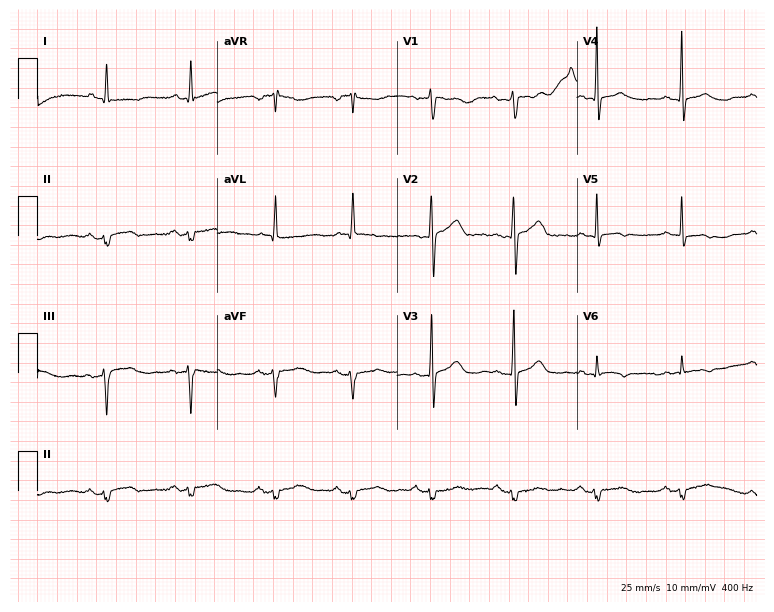
ECG — a 71-year-old woman. Screened for six findings — first-degree AV block, right bundle branch block, left bundle branch block, sinus bradycardia, atrial fibrillation, sinus tachycardia — none is recorded. Only these six findings were labelled.